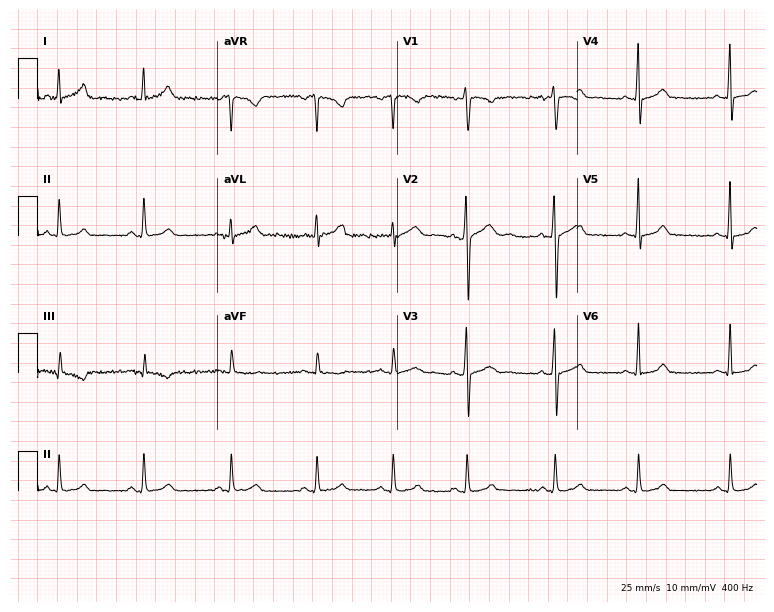
12-lead ECG from a 20-year-old male. Labelled as a normal ECG.